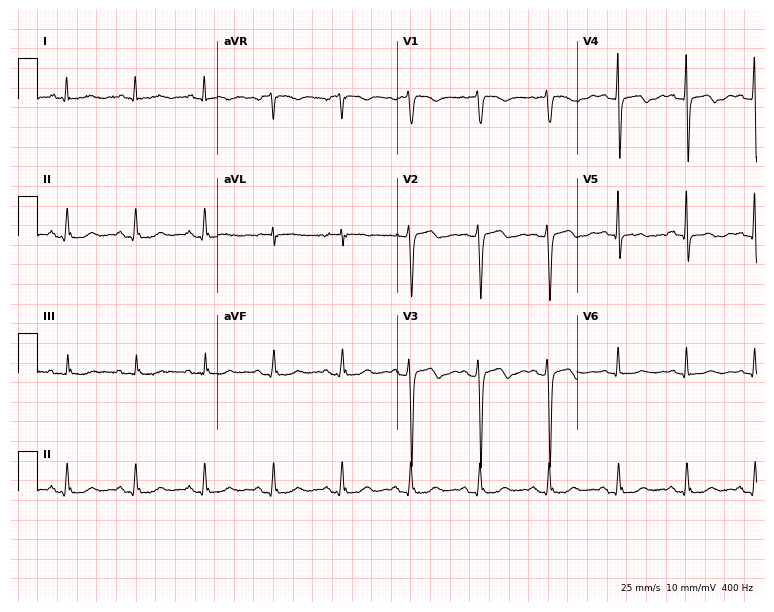
12-lead ECG from a female patient, 60 years old (7.3-second recording at 400 Hz). No first-degree AV block, right bundle branch block, left bundle branch block, sinus bradycardia, atrial fibrillation or sinus tachycardia recorded for this tracing. Findings outside these six are not listed.